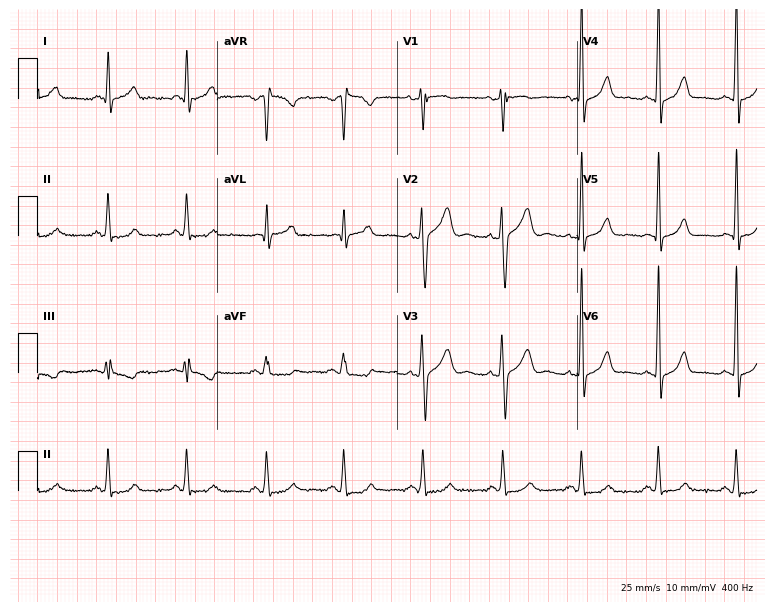
Standard 12-lead ECG recorded from a male, 46 years old. Read as a normal ECG.